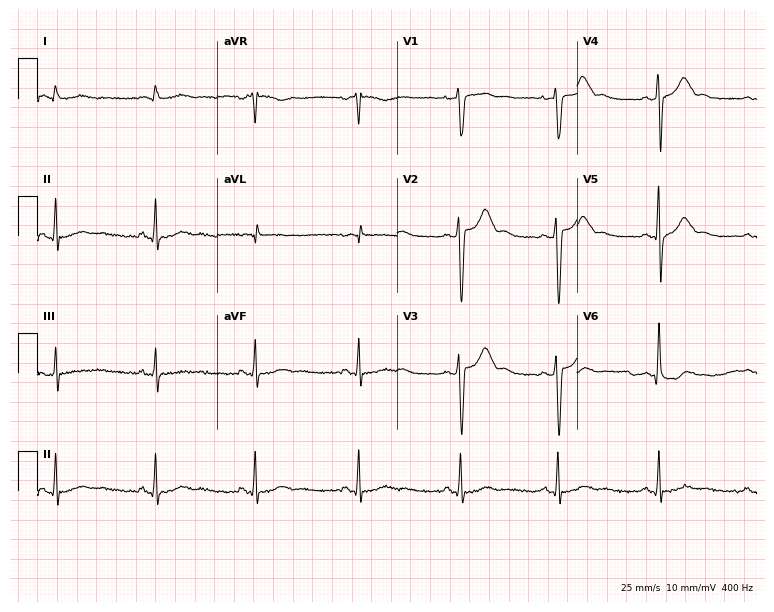
Electrocardiogram (7.3-second recording at 400 Hz), a 25-year-old male. Of the six screened findings (first-degree AV block, right bundle branch block (RBBB), left bundle branch block (LBBB), sinus bradycardia, atrial fibrillation (AF), sinus tachycardia), none is recorded.